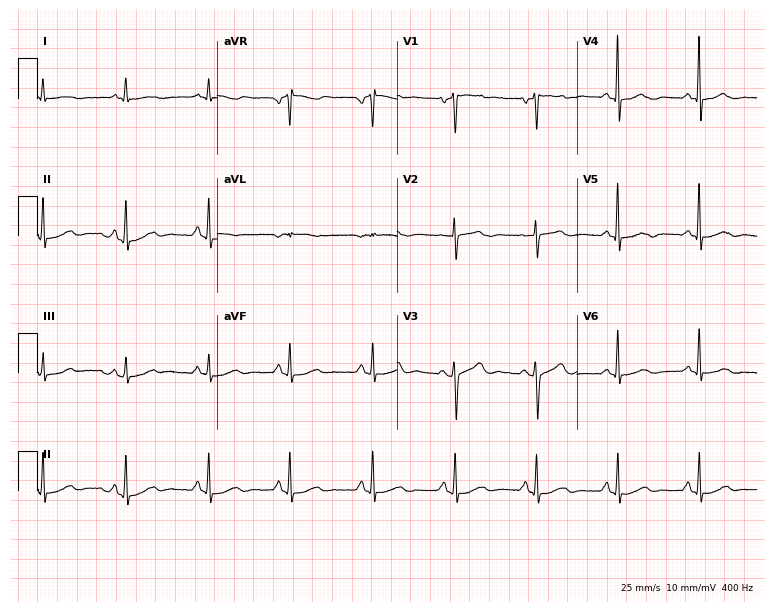
12-lead ECG from a woman, 70 years old. No first-degree AV block, right bundle branch block (RBBB), left bundle branch block (LBBB), sinus bradycardia, atrial fibrillation (AF) or sinus tachycardia recorded for this tracing. Only these six findings were labelled.